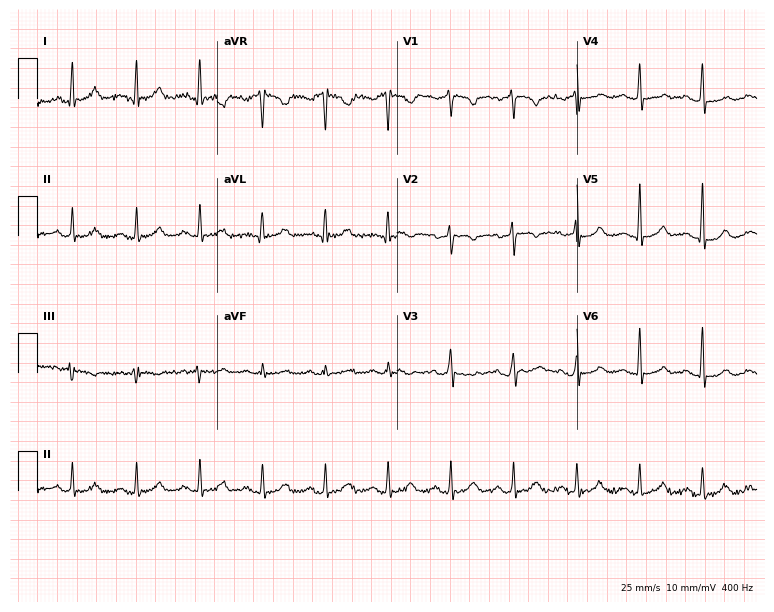
12-lead ECG (7.3-second recording at 400 Hz) from a 46-year-old woman. Labelled as a normal ECG.